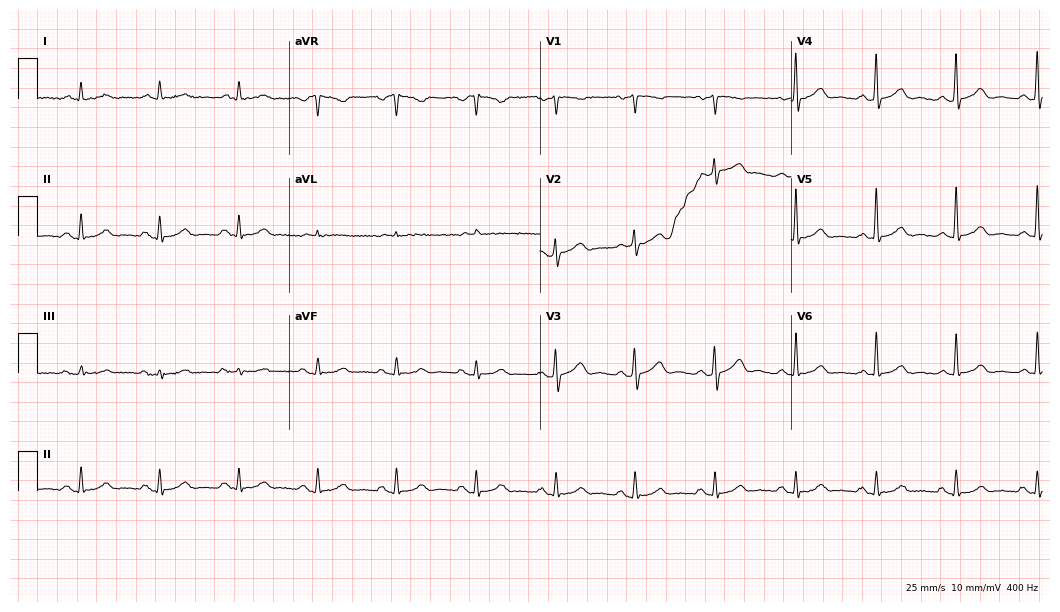
12-lead ECG from an 85-year-old male patient (10.2-second recording at 400 Hz). Recorded interpretation: within normal limits.